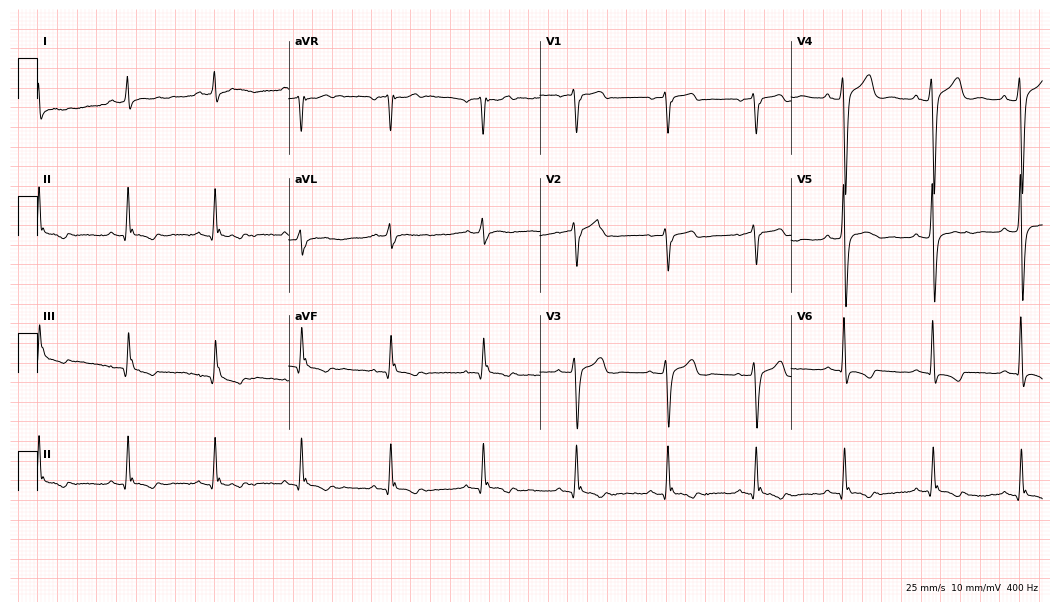
ECG (10.2-second recording at 400 Hz) — a 59-year-old male. Screened for six findings — first-degree AV block, right bundle branch block (RBBB), left bundle branch block (LBBB), sinus bradycardia, atrial fibrillation (AF), sinus tachycardia — none is recorded. Only these six findings were labelled.